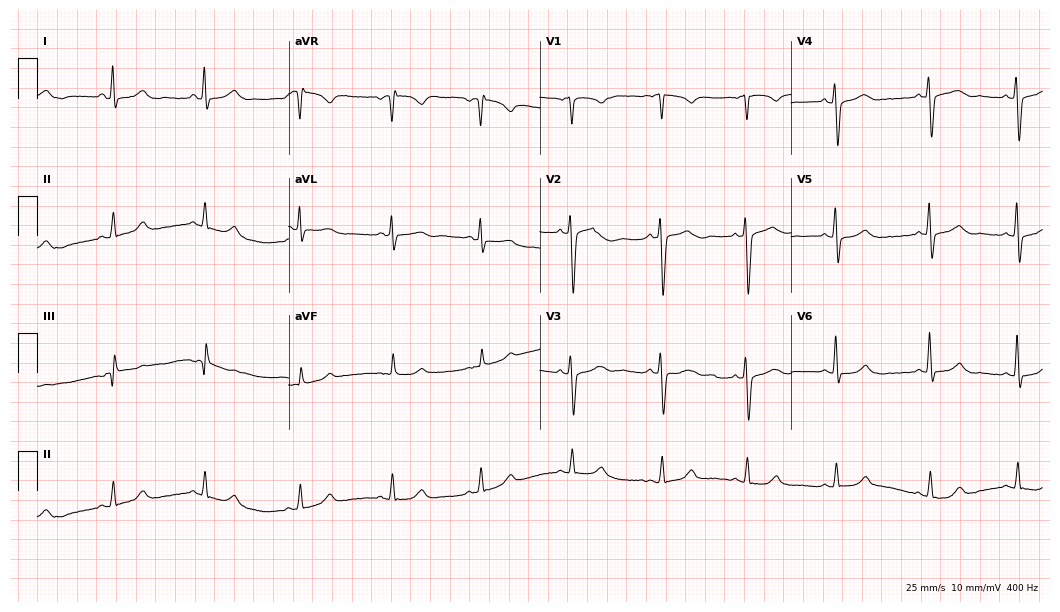
Resting 12-lead electrocardiogram (10.2-second recording at 400 Hz). Patient: a 57-year-old male. Read as a normal ECG.